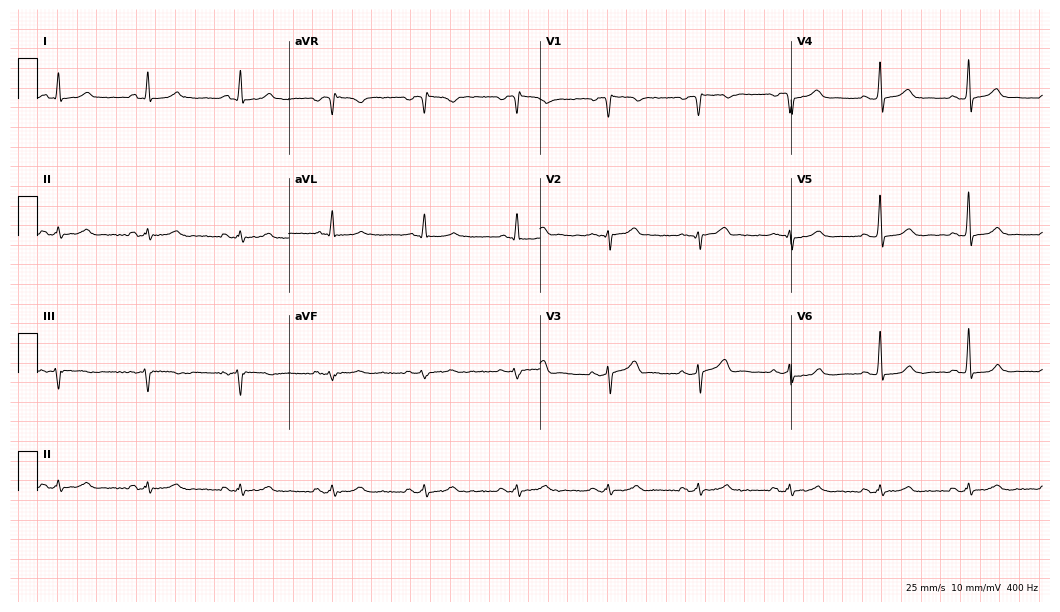
Resting 12-lead electrocardiogram (10.2-second recording at 400 Hz). Patient: a man, 43 years old. Read as a normal ECG.